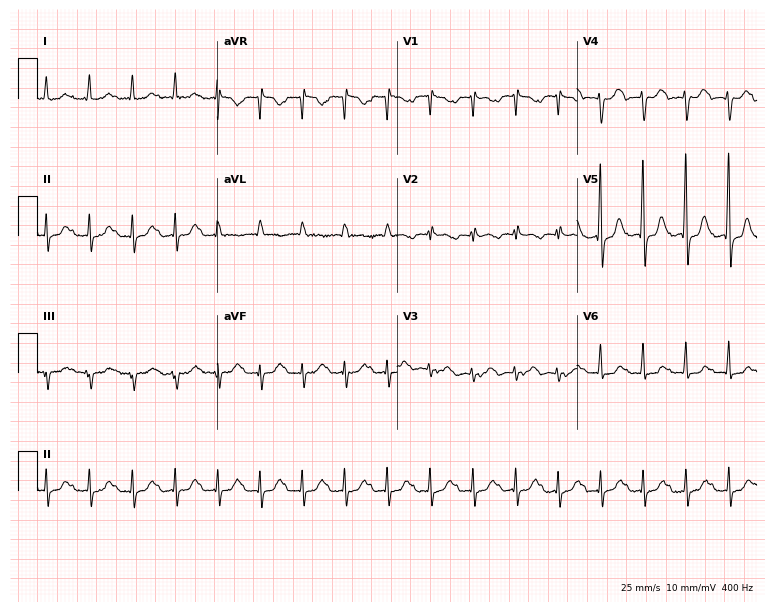
12-lead ECG (7.3-second recording at 400 Hz) from a female, 74 years old. Findings include sinus tachycardia (a sinus rate of 100 beats per minute or more).